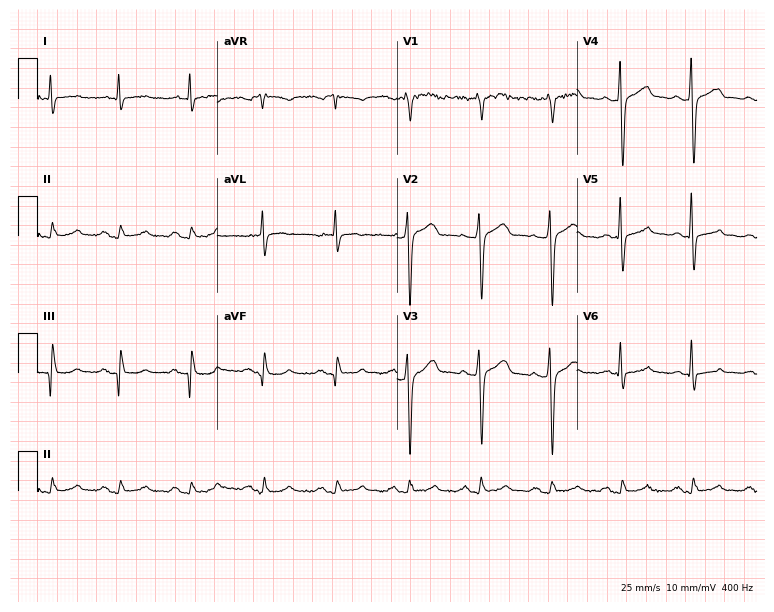
Electrocardiogram (7.3-second recording at 400 Hz), a 55-year-old man. Of the six screened findings (first-degree AV block, right bundle branch block (RBBB), left bundle branch block (LBBB), sinus bradycardia, atrial fibrillation (AF), sinus tachycardia), none is recorded.